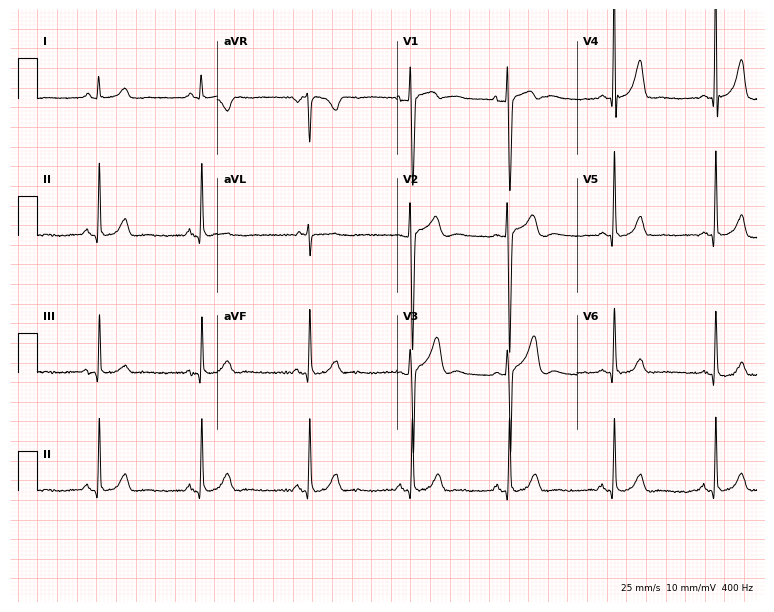
12-lead ECG (7.3-second recording at 400 Hz) from a 24-year-old male patient. Labelled as a normal ECG.